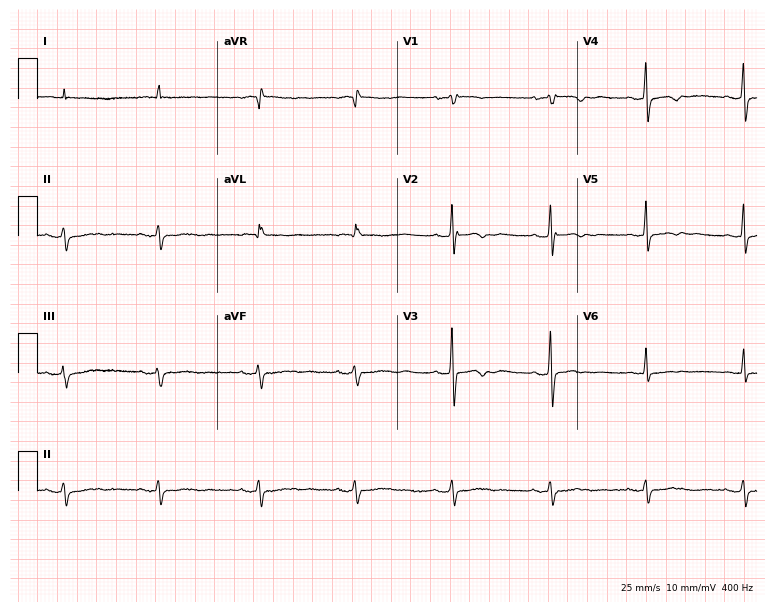
ECG (7.3-second recording at 400 Hz) — a female, 71 years old. Labelled as a normal ECG.